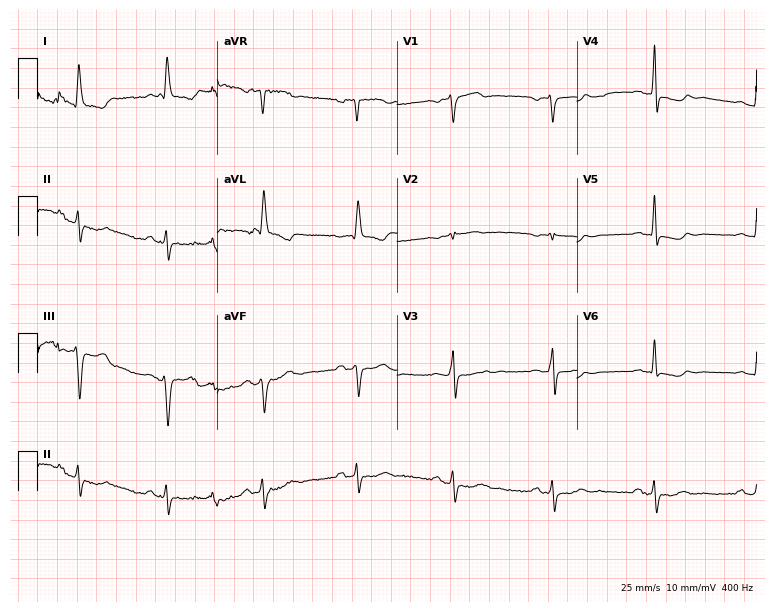
12-lead ECG from a 72-year-old female. Screened for six findings — first-degree AV block, right bundle branch block, left bundle branch block, sinus bradycardia, atrial fibrillation, sinus tachycardia — none is recorded.